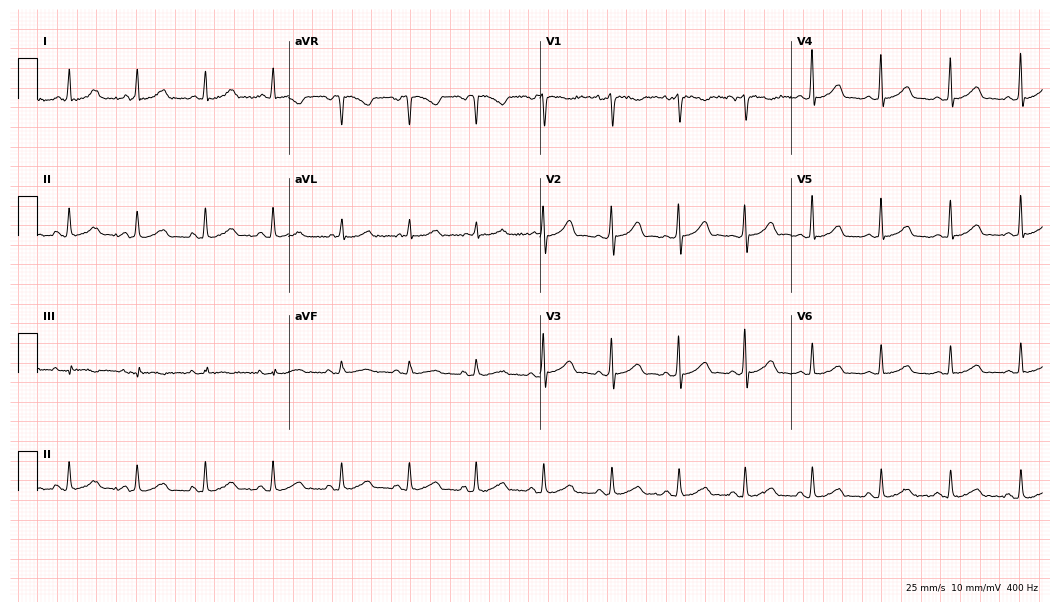
12-lead ECG from a female, 25 years old (10.2-second recording at 400 Hz). Recorded interpretation: within normal limits.